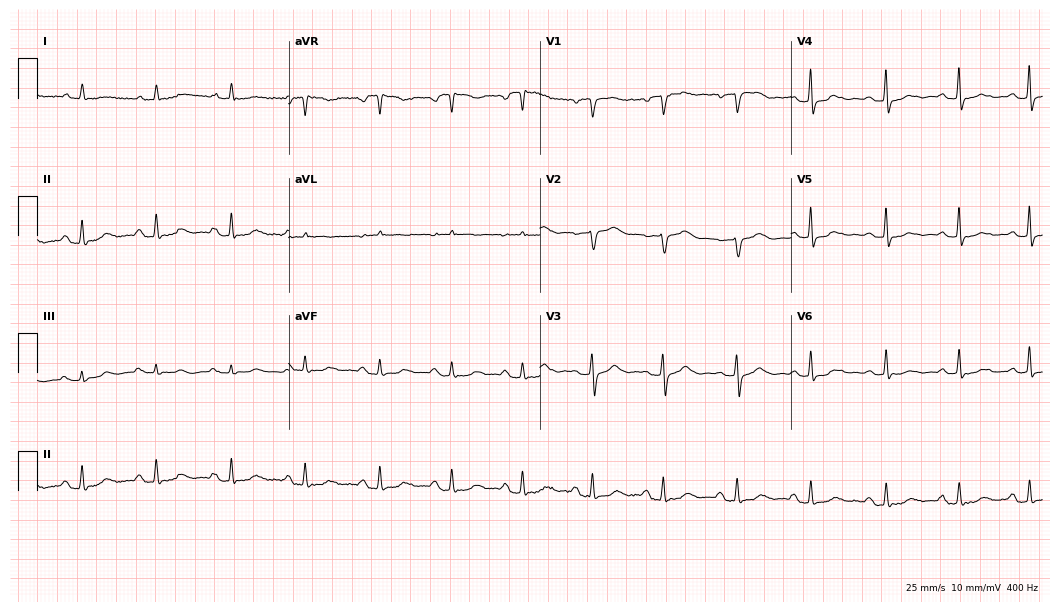
12-lead ECG from an 85-year-old female patient. No first-degree AV block, right bundle branch block, left bundle branch block, sinus bradycardia, atrial fibrillation or sinus tachycardia recorded for this tracing. Findings outside these six are not listed.